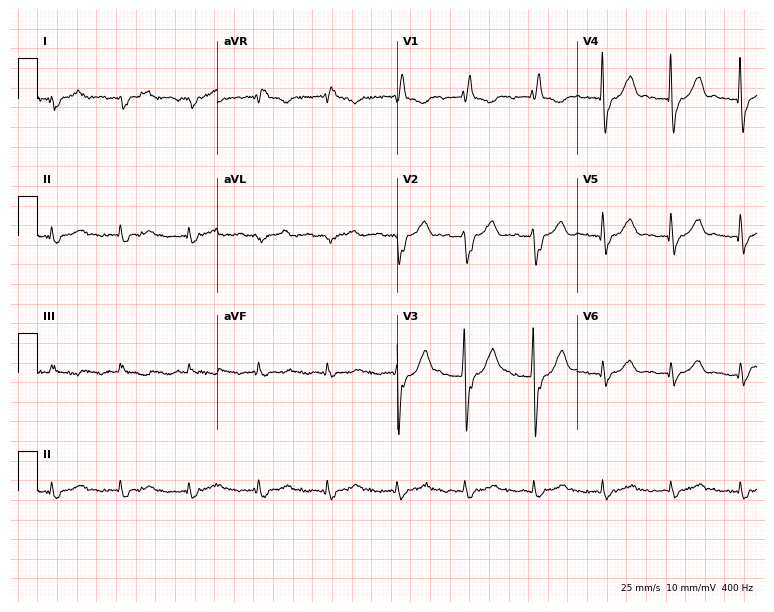
Resting 12-lead electrocardiogram (7.3-second recording at 400 Hz). Patient: a 74-year-old woman. The tracing shows right bundle branch block.